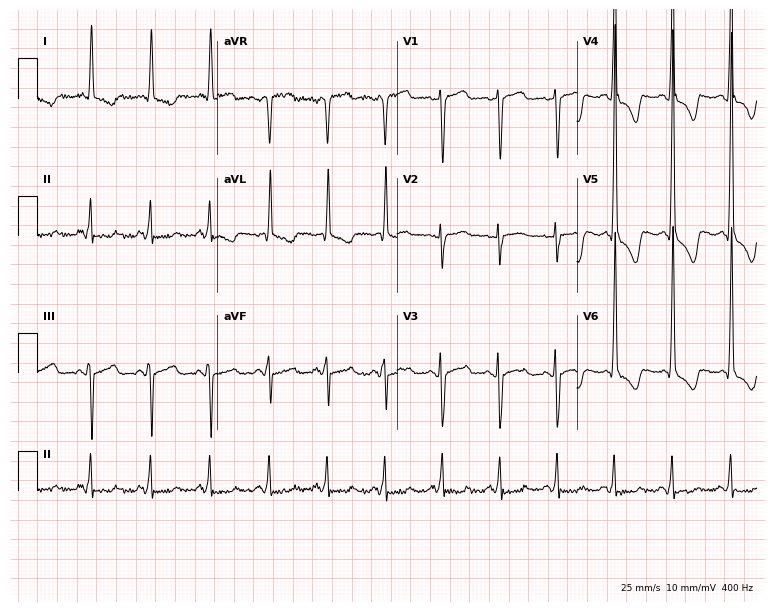
Electrocardiogram, a 53-year-old female. Interpretation includes sinus tachycardia (a sinus rate of 100 beats per minute or more).